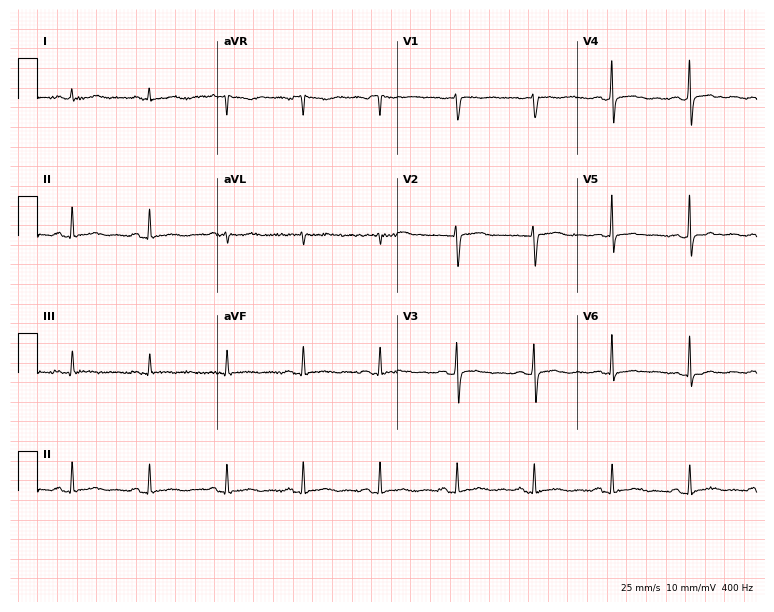
12-lead ECG from a female patient, 49 years old (7.3-second recording at 400 Hz). No first-degree AV block, right bundle branch block, left bundle branch block, sinus bradycardia, atrial fibrillation or sinus tachycardia recorded for this tracing. Only these six findings were labelled.